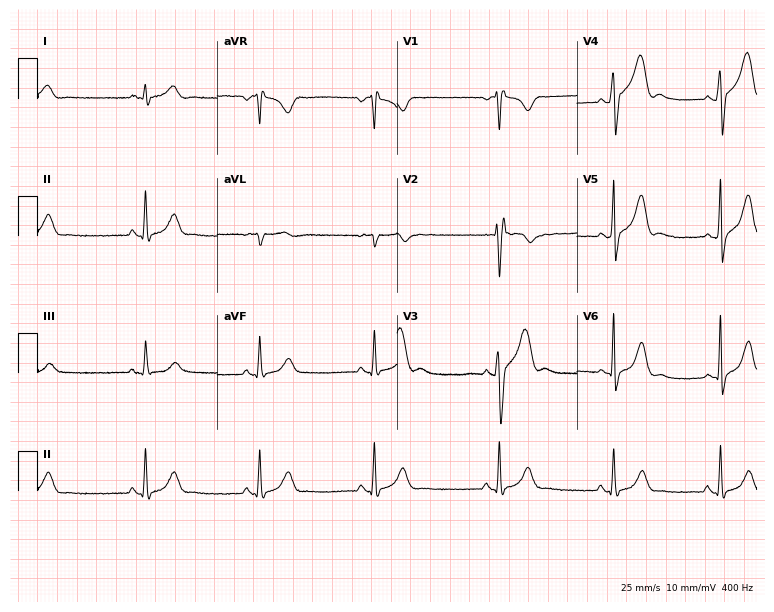
ECG — a 38-year-old male. Labelled as a normal ECG.